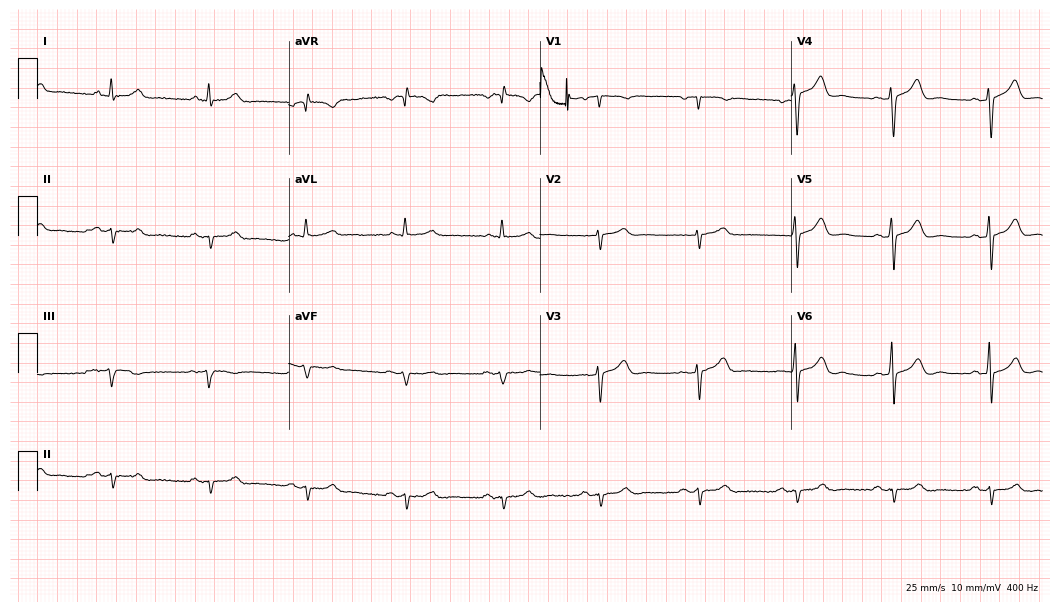
Electrocardiogram, a 77-year-old male. Of the six screened findings (first-degree AV block, right bundle branch block, left bundle branch block, sinus bradycardia, atrial fibrillation, sinus tachycardia), none is recorded.